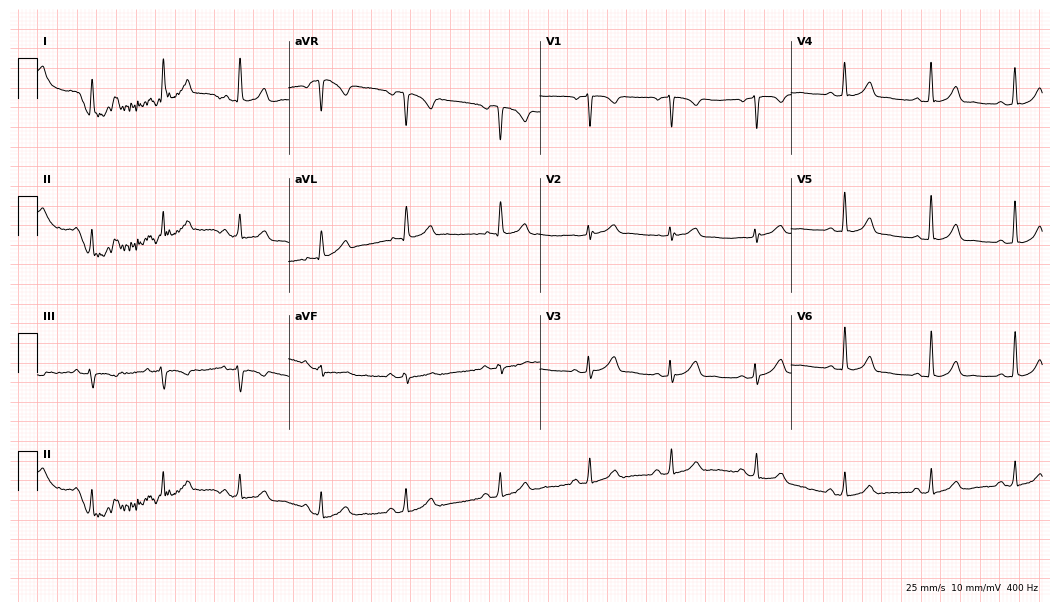
12-lead ECG from a female, 45 years old (10.2-second recording at 400 Hz). Recorded interpretation: within normal limits.